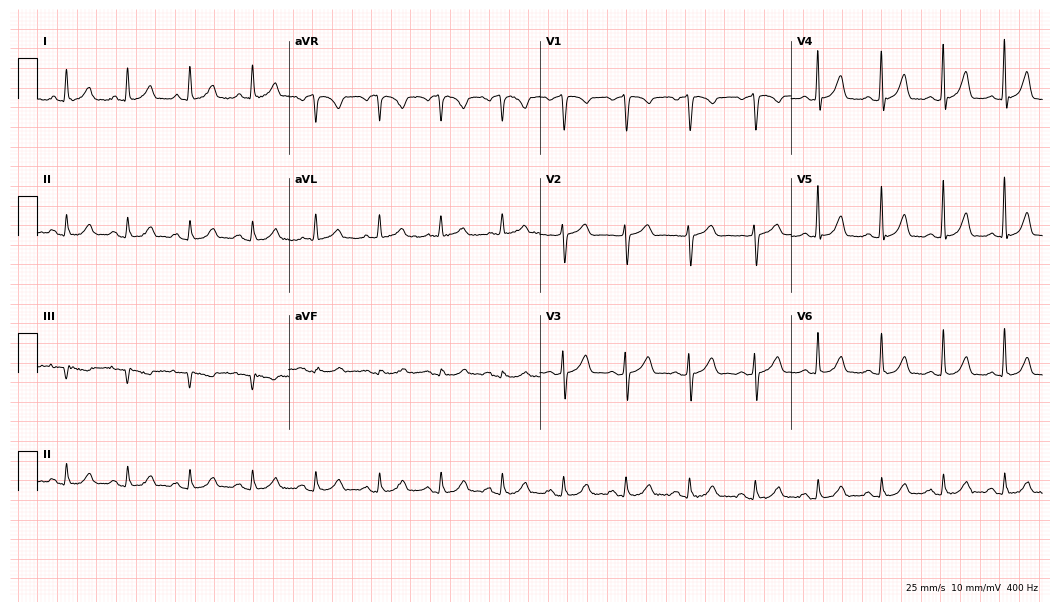
ECG (10.2-second recording at 400 Hz) — a 41-year-old woman. Labelled as a normal ECG.